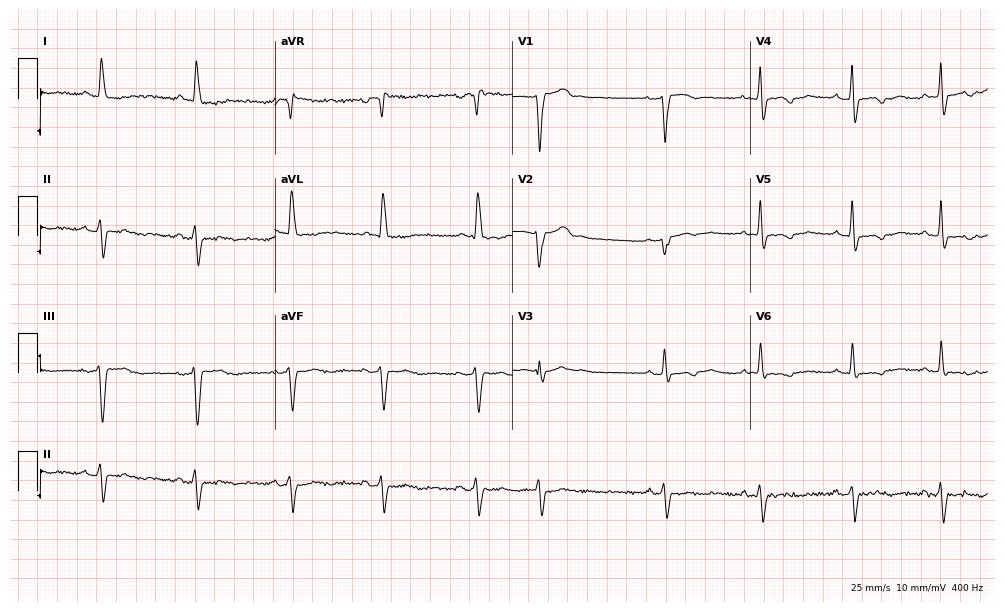
12-lead ECG from a female patient, 50 years old. Screened for six findings — first-degree AV block, right bundle branch block, left bundle branch block, sinus bradycardia, atrial fibrillation, sinus tachycardia — none is recorded.